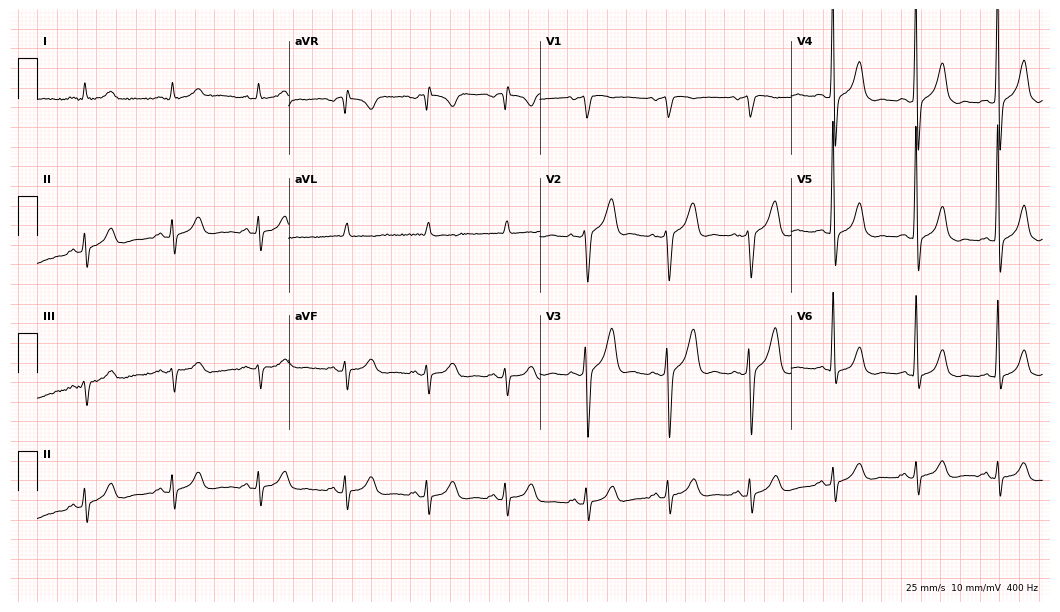
Electrocardiogram, a man, 61 years old. Of the six screened findings (first-degree AV block, right bundle branch block, left bundle branch block, sinus bradycardia, atrial fibrillation, sinus tachycardia), none is recorded.